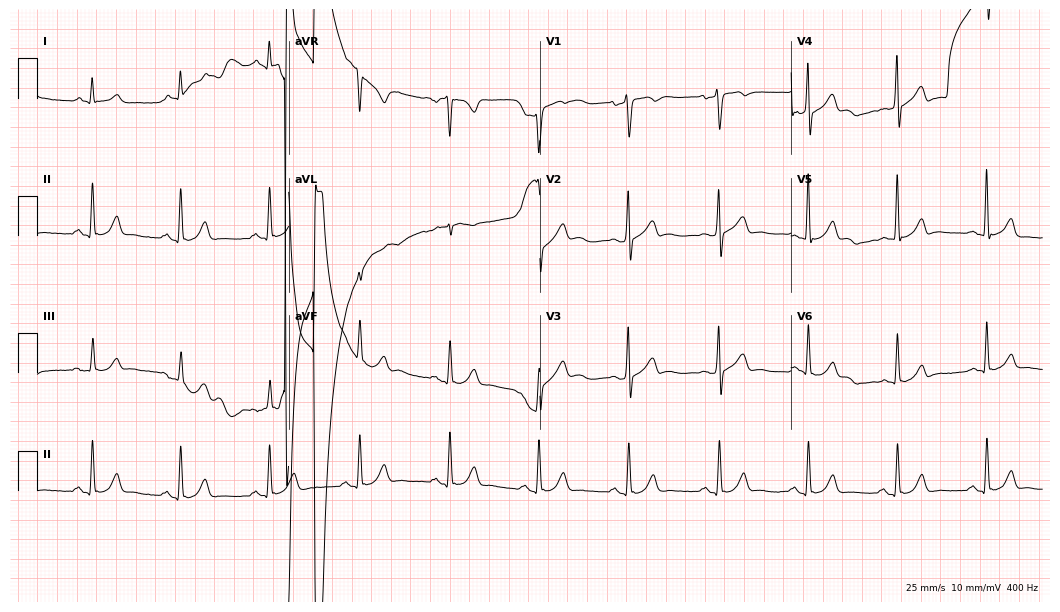
Resting 12-lead electrocardiogram (10.2-second recording at 400 Hz). Patient: a male, 56 years old. None of these six findings is recorded: first-degree AV block, right bundle branch block, left bundle branch block, sinus bradycardia, atrial fibrillation, sinus tachycardia. Only these six findings were labelled.